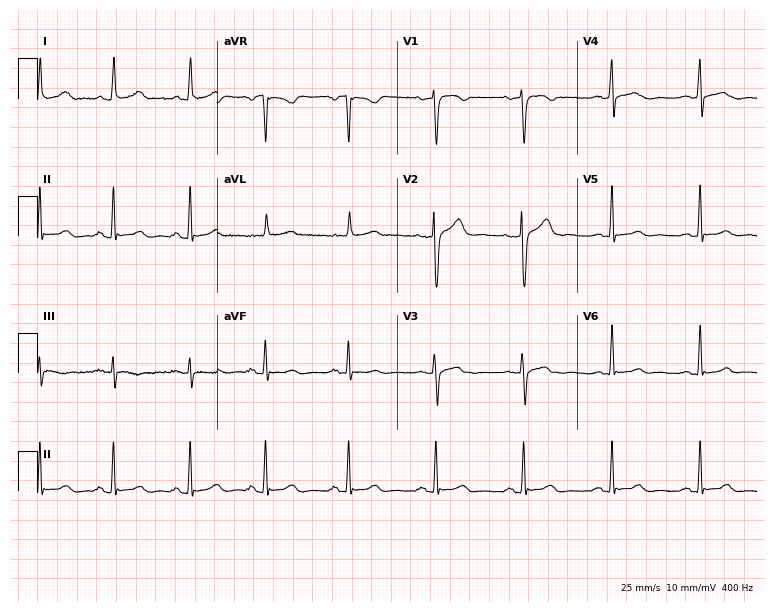
12-lead ECG (7.3-second recording at 400 Hz) from a 58-year-old female patient. Screened for six findings — first-degree AV block, right bundle branch block, left bundle branch block, sinus bradycardia, atrial fibrillation, sinus tachycardia — none is recorded.